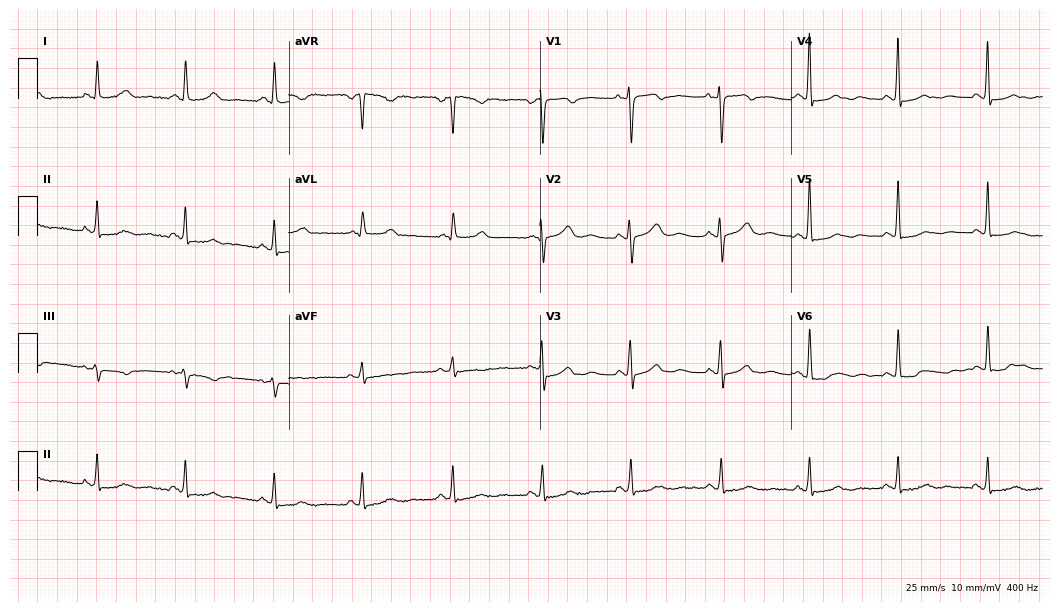
Electrocardiogram (10.2-second recording at 400 Hz), a 55-year-old woman. Overall reading on record: normal ECG.